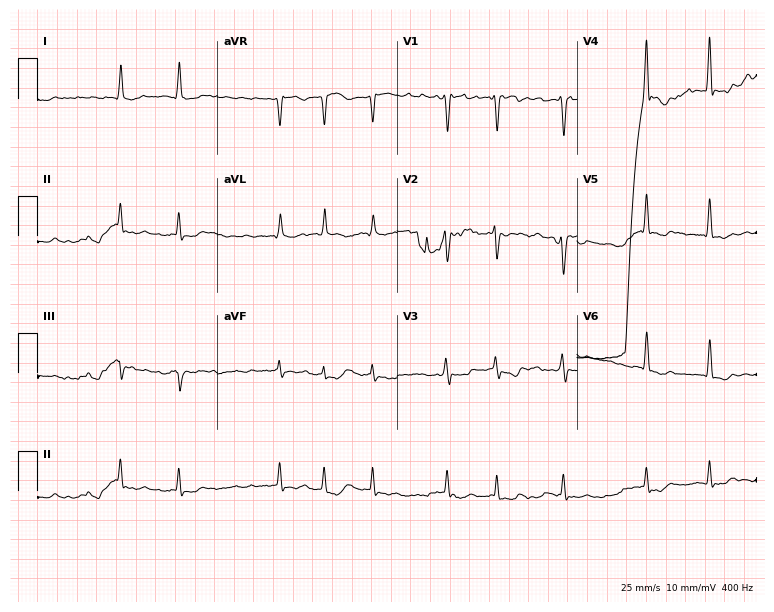
12-lead ECG from a 56-year-old female patient. Findings include atrial fibrillation.